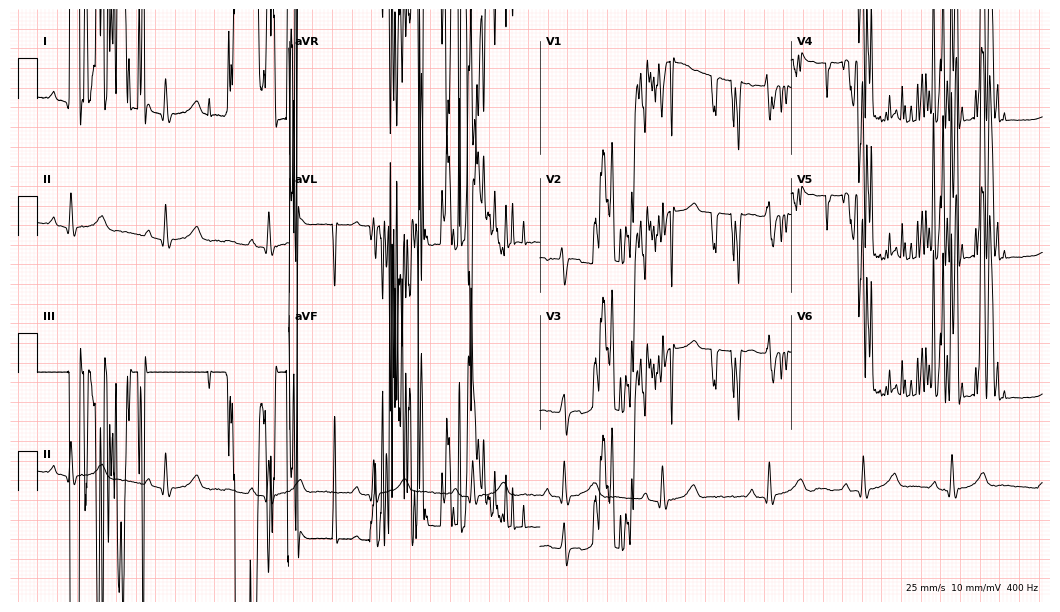
Electrocardiogram, a female, 21 years old. Of the six screened findings (first-degree AV block, right bundle branch block (RBBB), left bundle branch block (LBBB), sinus bradycardia, atrial fibrillation (AF), sinus tachycardia), none is recorded.